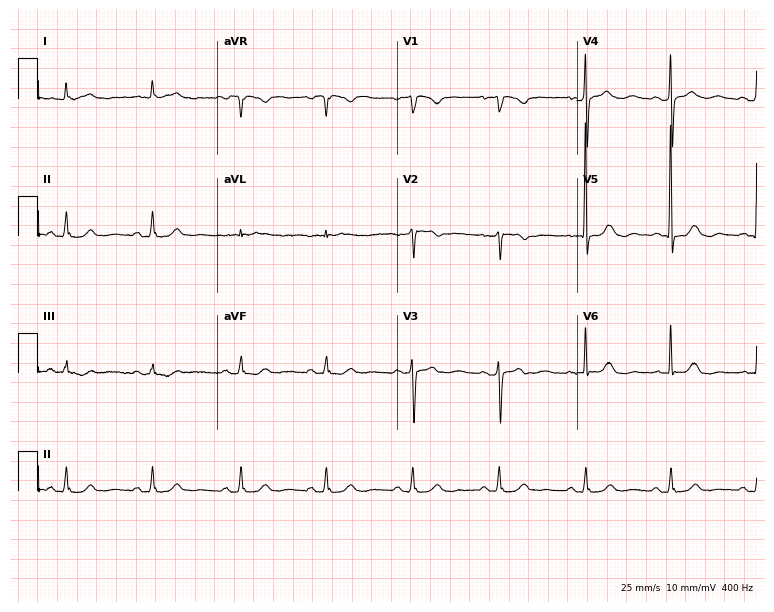
ECG — a female, 71 years old. Labelled as a normal ECG.